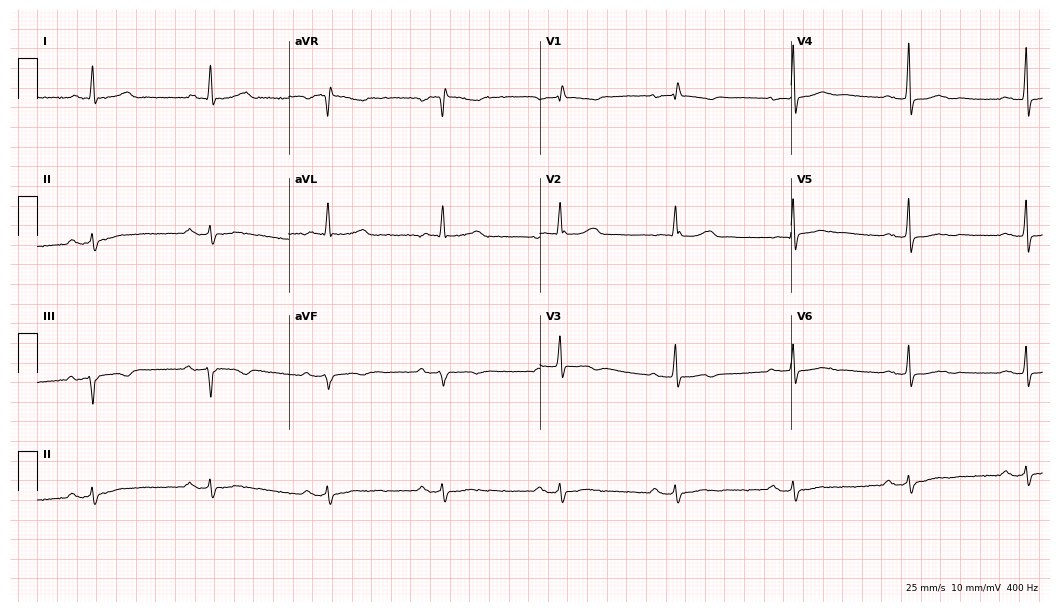
ECG — a female patient, 67 years old. Findings include first-degree AV block.